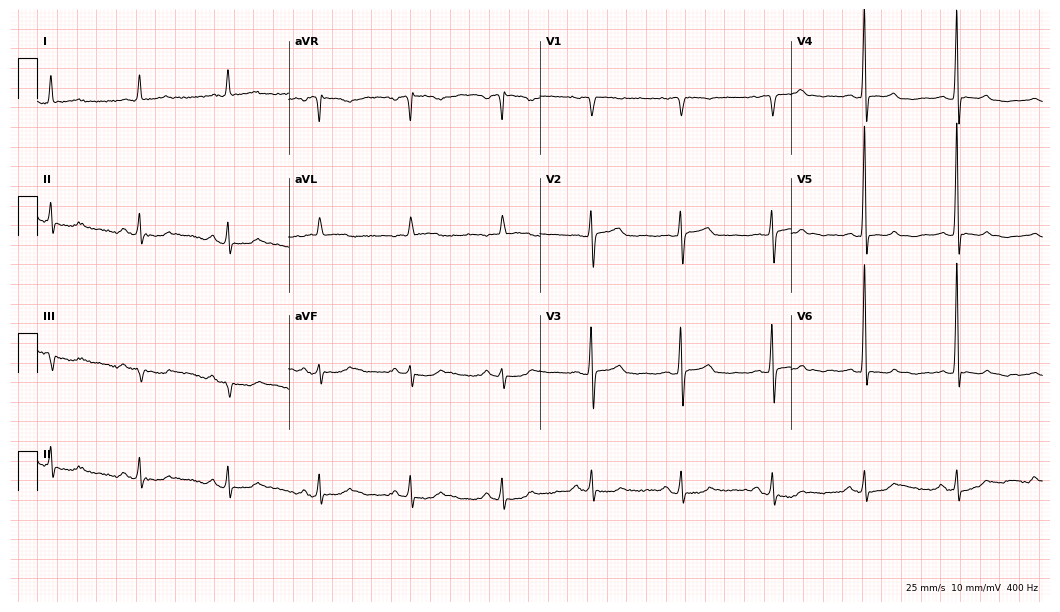
12-lead ECG (10.2-second recording at 400 Hz) from a female patient, 80 years old. Screened for six findings — first-degree AV block, right bundle branch block, left bundle branch block, sinus bradycardia, atrial fibrillation, sinus tachycardia — none is recorded. Other findings, if any, are not listed.